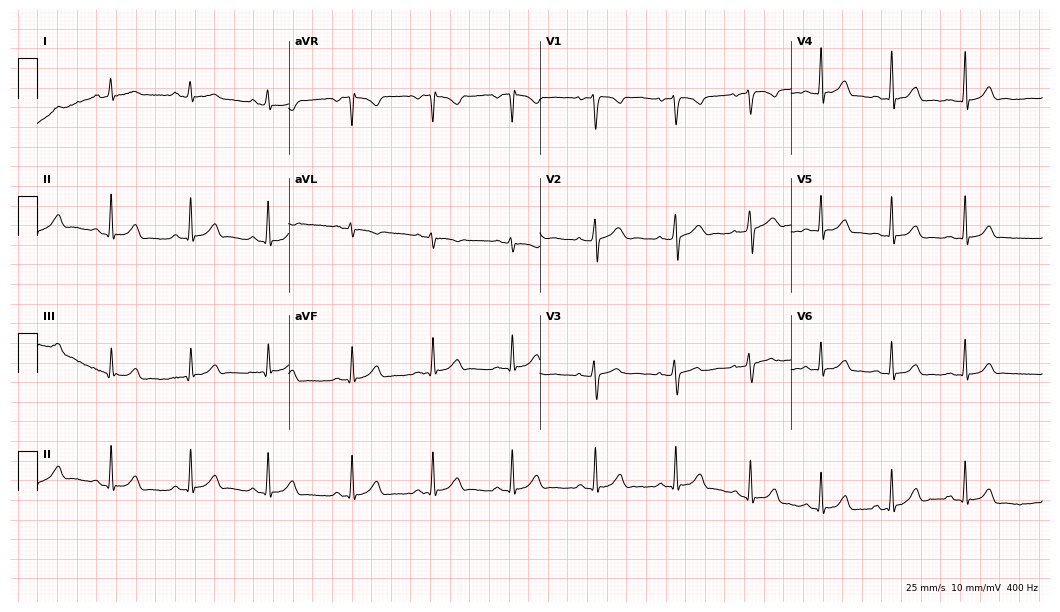
Electrocardiogram (10.2-second recording at 400 Hz), a 19-year-old female. Overall reading on record: normal ECG.